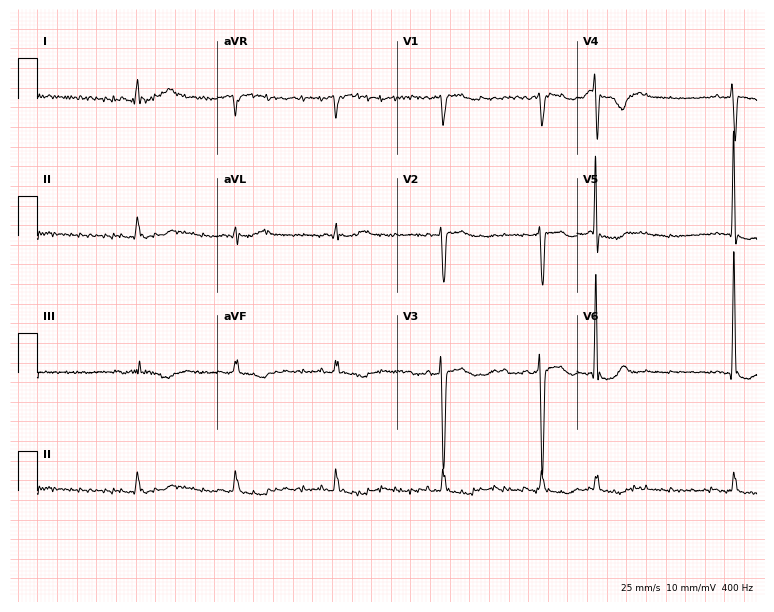
12-lead ECG from a man, 85 years old. No first-degree AV block, right bundle branch block (RBBB), left bundle branch block (LBBB), sinus bradycardia, atrial fibrillation (AF) or sinus tachycardia recorded for this tracing. Findings outside these six are not listed.